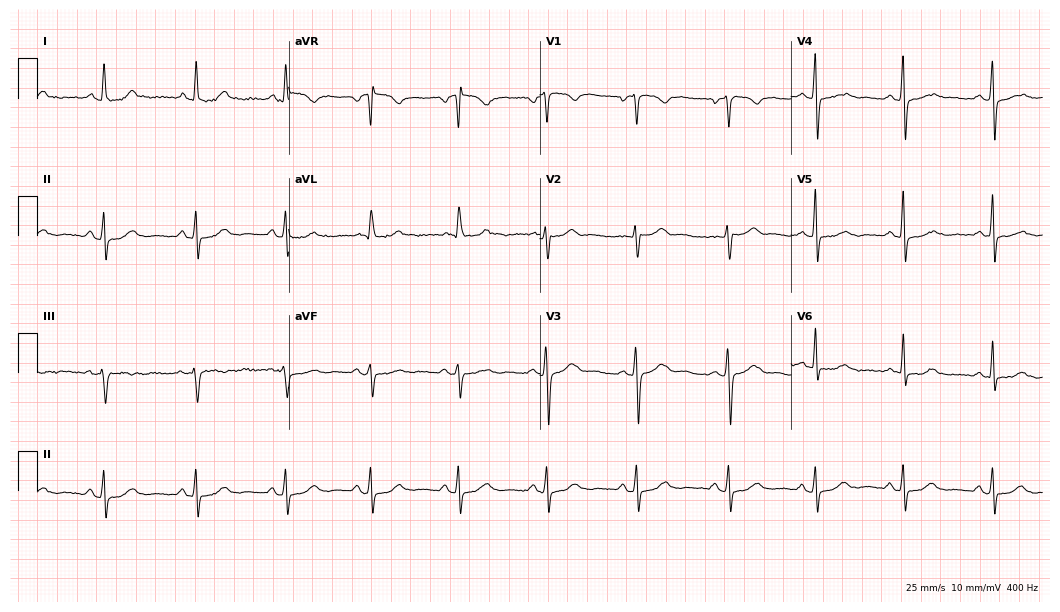
ECG — a female, 56 years old. Labelled as a normal ECG.